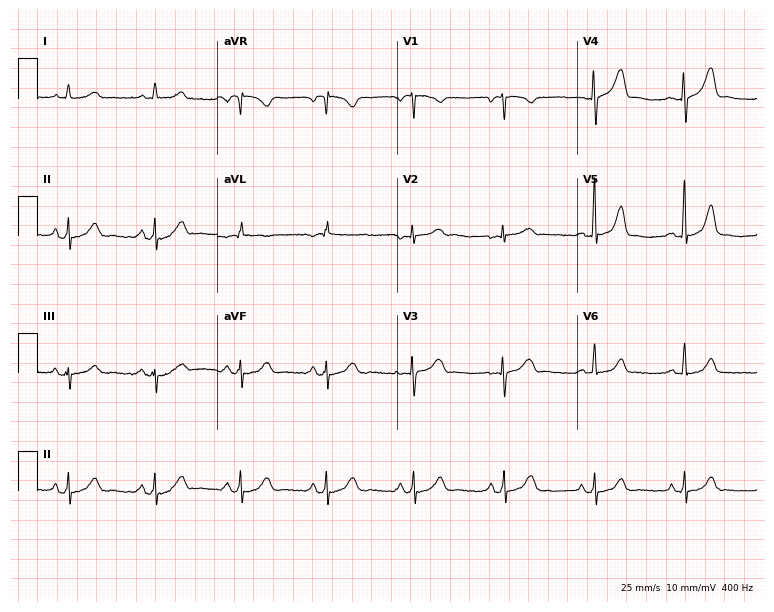
Resting 12-lead electrocardiogram. Patient: a 38-year-old female. None of these six findings is recorded: first-degree AV block, right bundle branch block (RBBB), left bundle branch block (LBBB), sinus bradycardia, atrial fibrillation (AF), sinus tachycardia. Other findings, if any, are not listed.